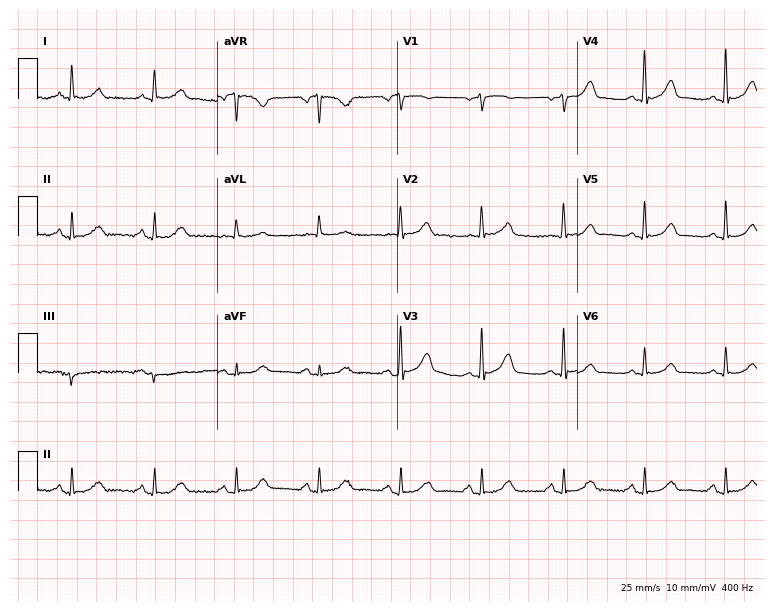
ECG — a 75-year-old man. Screened for six findings — first-degree AV block, right bundle branch block (RBBB), left bundle branch block (LBBB), sinus bradycardia, atrial fibrillation (AF), sinus tachycardia — none is recorded.